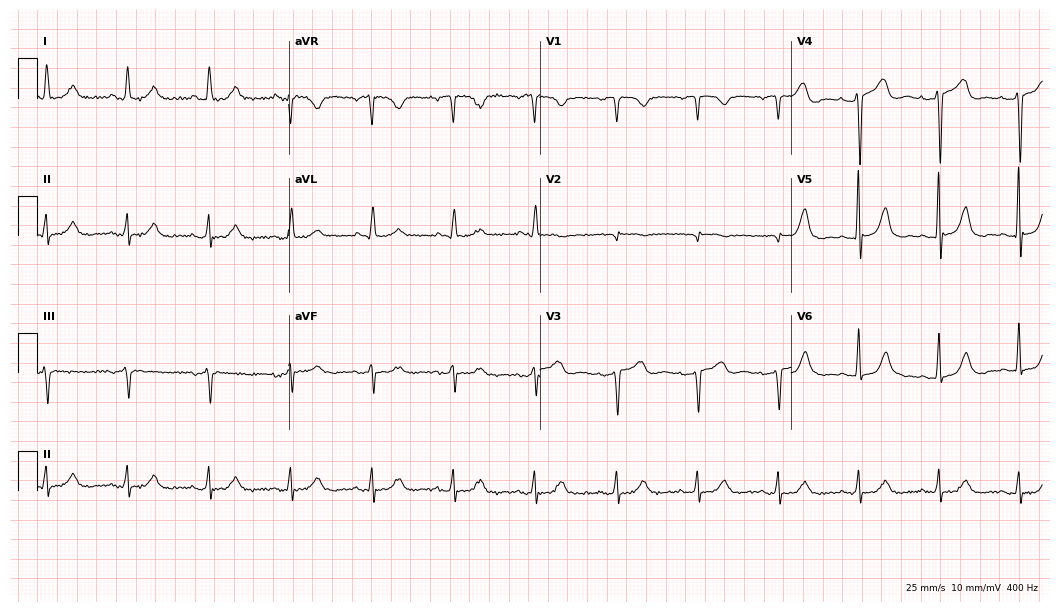
Standard 12-lead ECG recorded from a female, 78 years old (10.2-second recording at 400 Hz). None of these six findings is recorded: first-degree AV block, right bundle branch block (RBBB), left bundle branch block (LBBB), sinus bradycardia, atrial fibrillation (AF), sinus tachycardia. Findings outside these six are not listed.